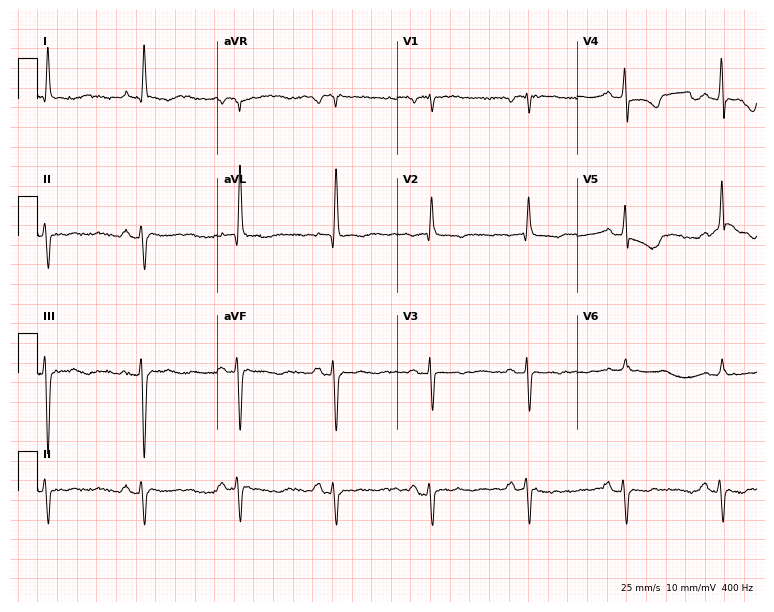
ECG (7.3-second recording at 400 Hz) — a female, 81 years old. Screened for six findings — first-degree AV block, right bundle branch block, left bundle branch block, sinus bradycardia, atrial fibrillation, sinus tachycardia — none is recorded. Other findings, if any, are not listed.